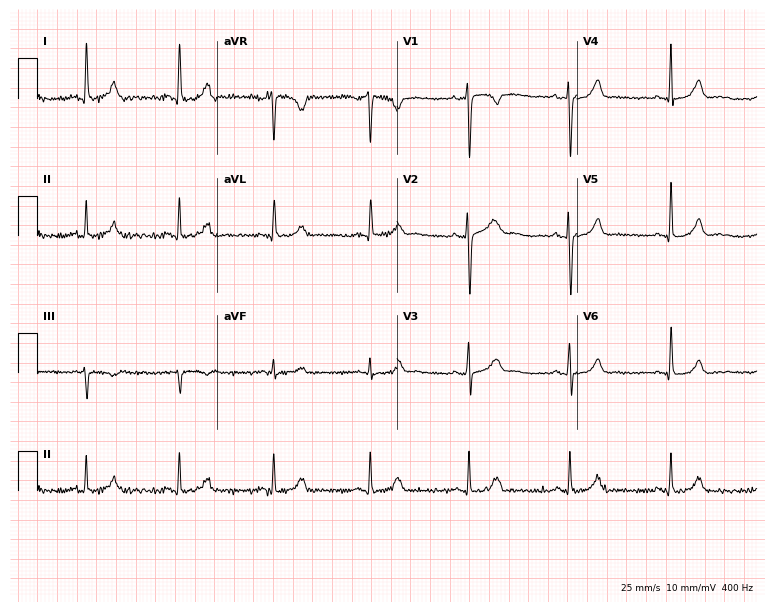
Standard 12-lead ECG recorded from a 38-year-old woman (7.3-second recording at 400 Hz). Read as a normal ECG.